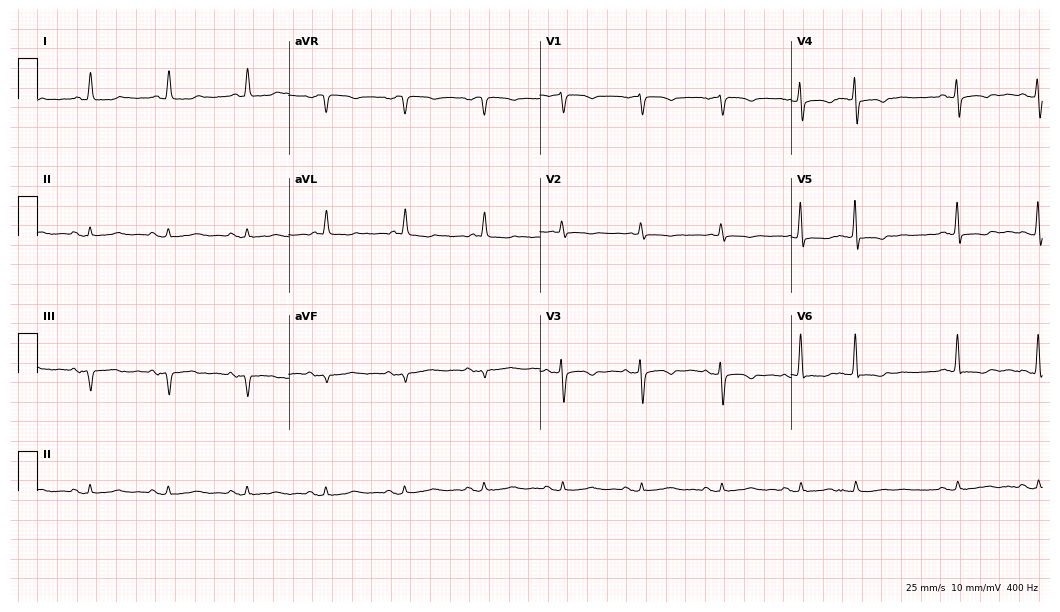
Resting 12-lead electrocardiogram (10.2-second recording at 400 Hz). Patient: a female, 69 years old. None of these six findings is recorded: first-degree AV block, right bundle branch block (RBBB), left bundle branch block (LBBB), sinus bradycardia, atrial fibrillation (AF), sinus tachycardia.